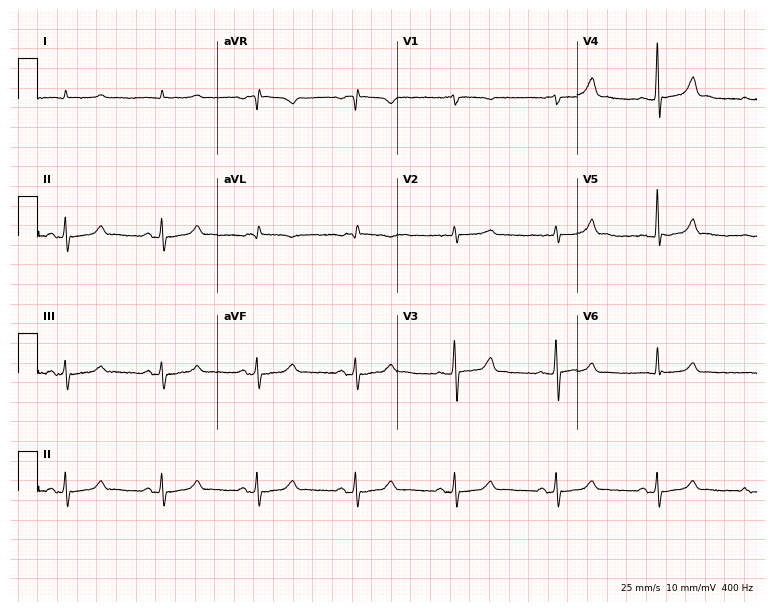
Standard 12-lead ECG recorded from a 74-year-old male patient (7.3-second recording at 400 Hz). Read as a normal ECG.